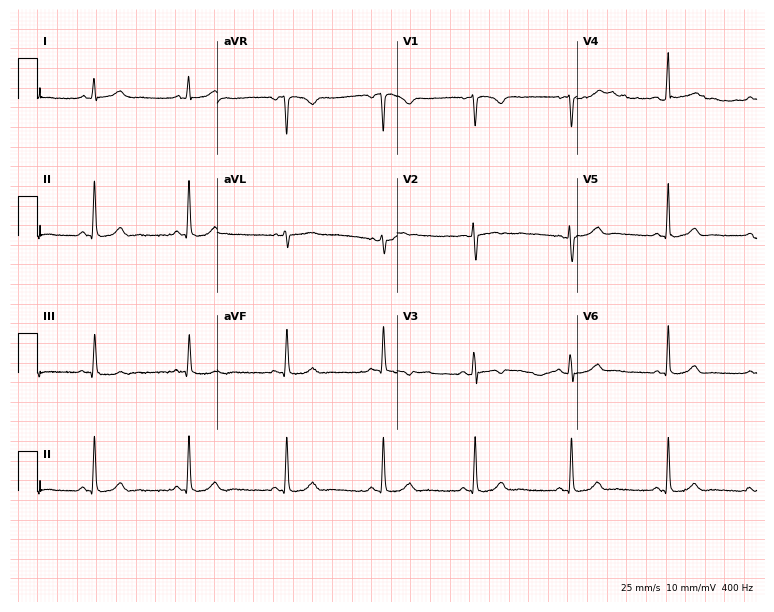
12-lead ECG from a 32-year-old female. Recorded interpretation: within normal limits.